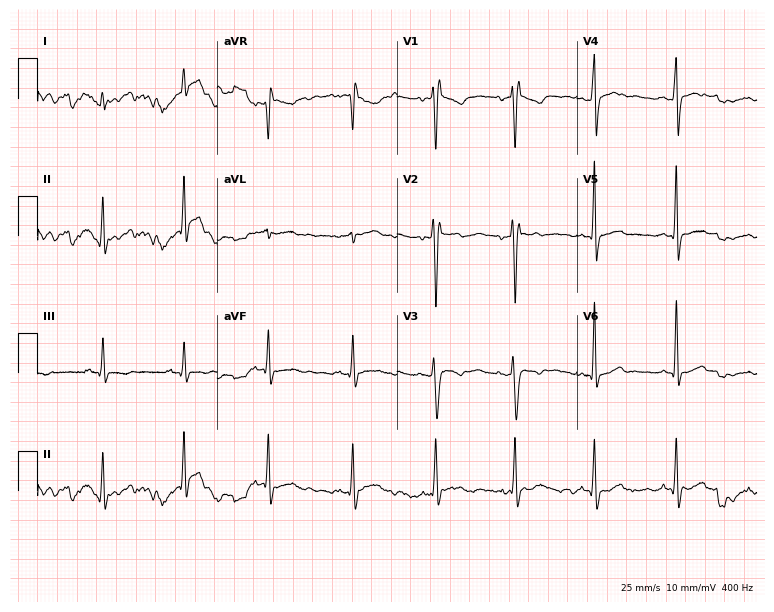
12-lead ECG from a male patient, 28 years old. No first-degree AV block, right bundle branch block, left bundle branch block, sinus bradycardia, atrial fibrillation or sinus tachycardia recorded for this tracing. Other findings, if any, are not listed.